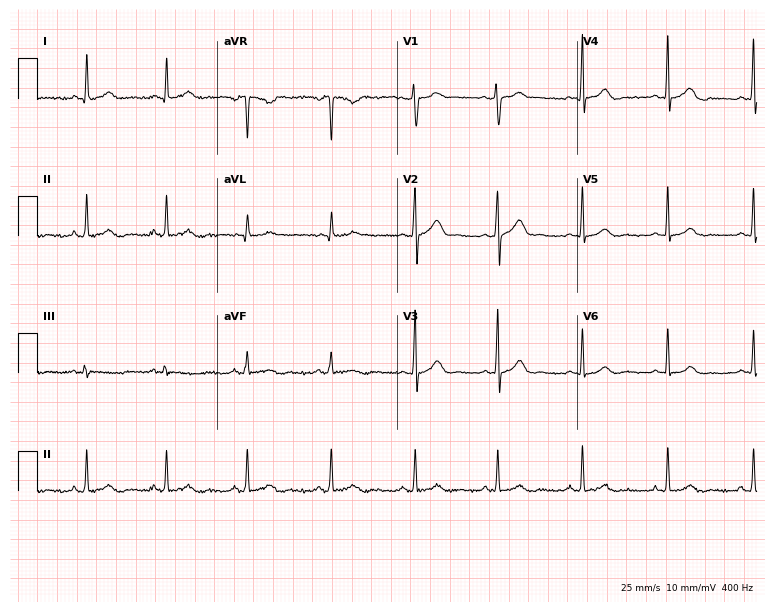
Standard 12-lead ECG recorded from a 35-year-old female patient (7.3-second recording at 400 Hz). None of these six findings is recorded: first-degree AV block, right bundle branch block (RBBB), left bundle branch block (LBBB), sinus bradycardia, atrial fibrillation (AF), sinus tachycardia. Only these six findings were labelled.